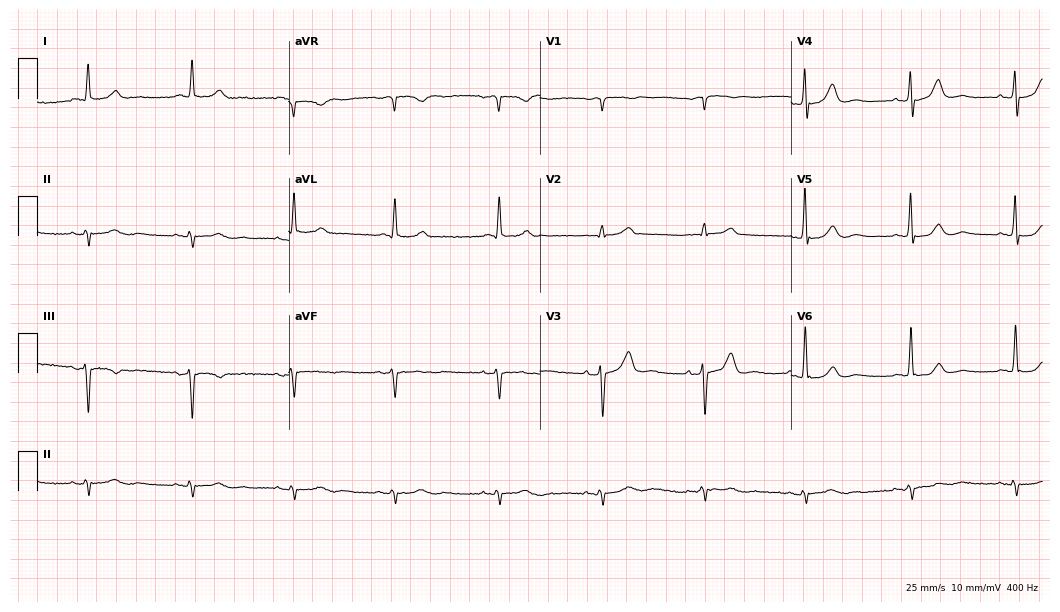
Resting 12-lead electrocardiogram. Patient: a man, 79 years old. None of these six findings is recorded: first-degree AV block, right bundle branch block, left bundle branch block, sinus bradycardia, atrial fibrillation, sinus tachycardia. Only these six findings were labelled.